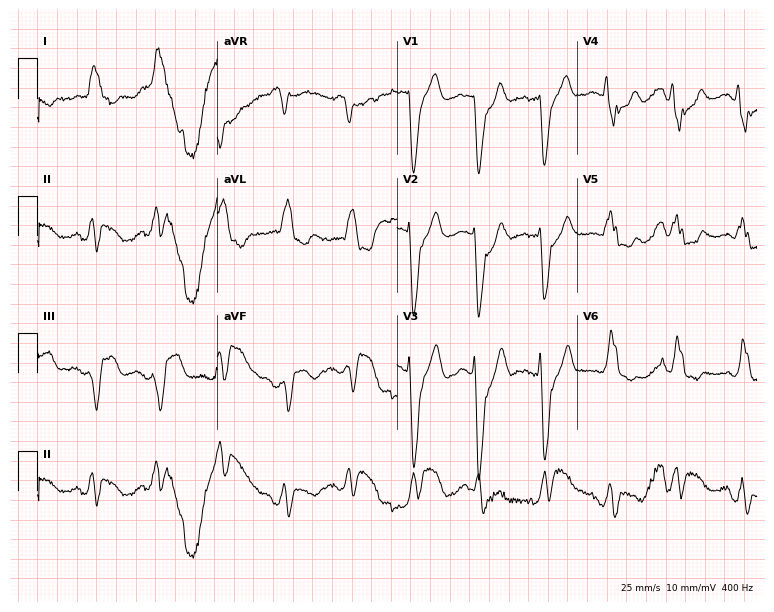
12-lead ECG from a female patient, 62 years old. No first-degree AV block, right bundle branch block, left bundle branch block, sinus bradycardia, atrial fibrillation or sinus tachycardia recorded for this tracing. Other findings, if any, are not listed.